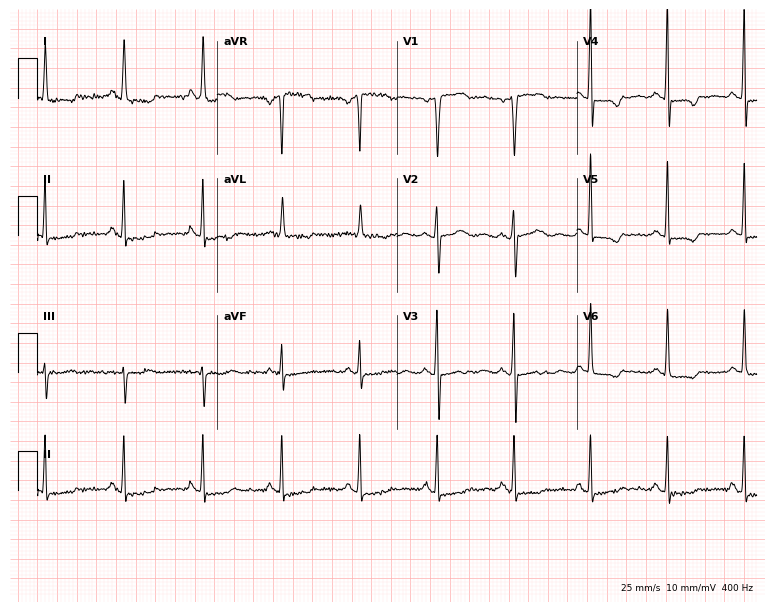
Resting 12-lead electrocardiogram. Patient: a 48-year-old female. None of these six findings is recorded: first-degree AV block, right bundle branch block, left bundle branch block, sinus bradycardia, atrial fibrillation, sinus tachycardia. Only these six findings were labelled.